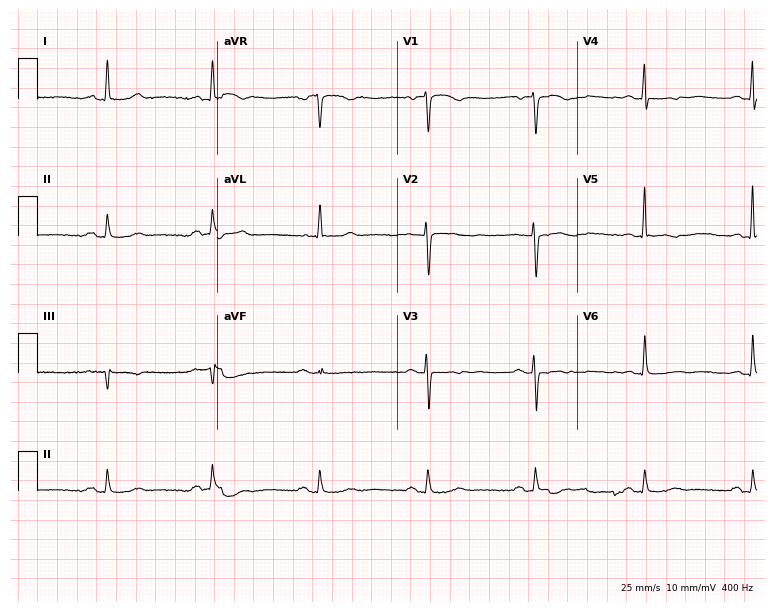
12-lead ECG from an 84-year-old female. Screened for six findings — first-degree AV block, right bundle branch block, left bundle branch block, sinus bradycardia, atrial fibrillation, sinus tachycardia — none is recorded.